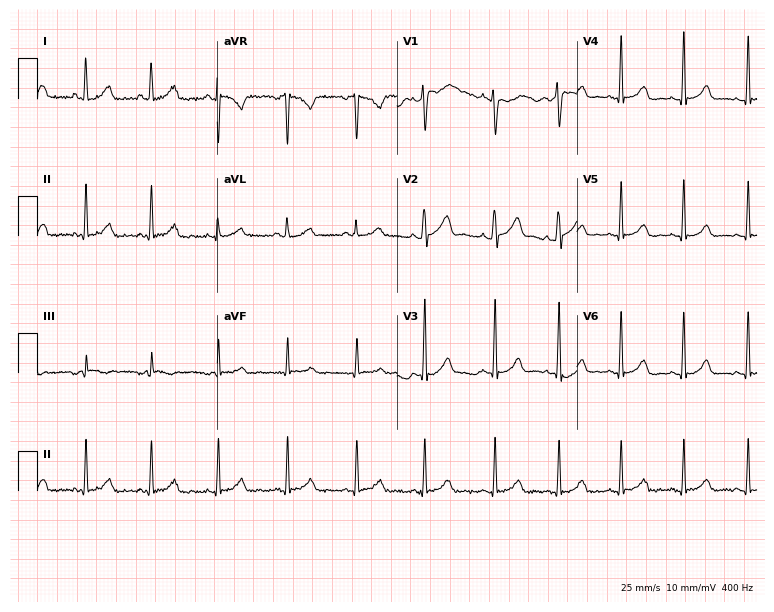
12-lead ECG from a female patient, 38 years old. No first-degree AV block, right bundle branch block, left bundle branch block, sinus bradycardia, atrial fibrillation or sinus tachycardia recorded for this tracing. Only these six findings were labelled.